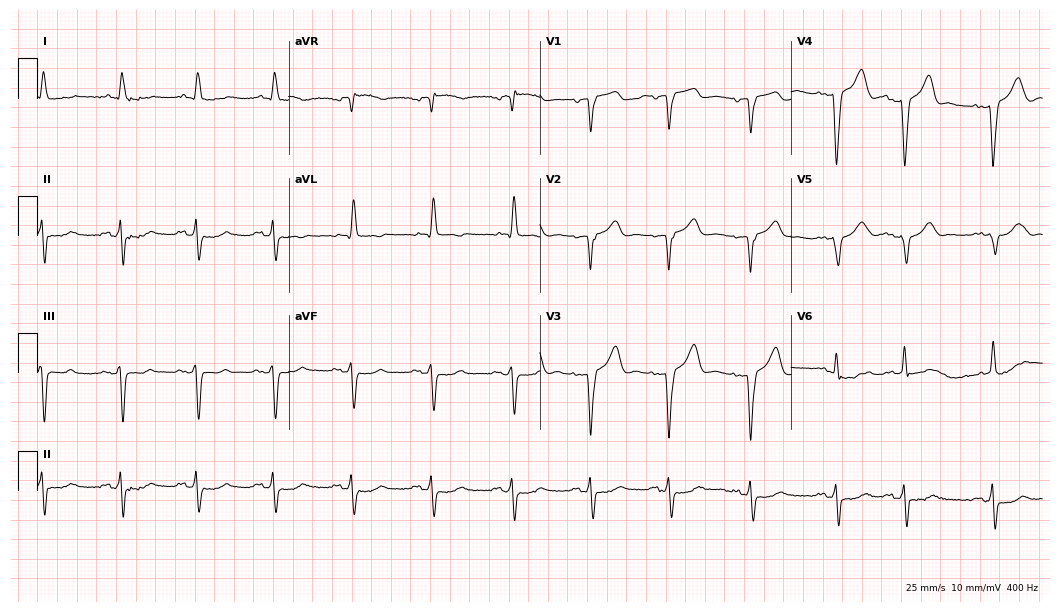
ECG — a male, 74 years old. Screened for six findings — first-degree AV block, right bundle branch block, left bundle branch block, sinus bradycardia, atrial fibrillation, sinus tachycardia — none is recorded. Findings outside these six are not listed.